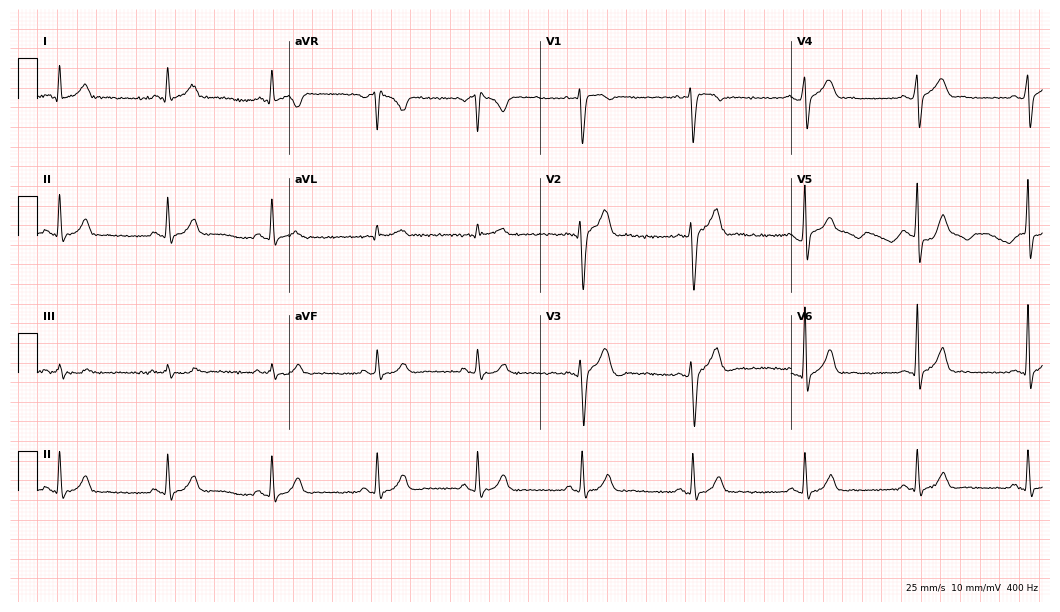
ECG — a male, 36 years old. Screened for six findings — first-degree AV block, right bundle branch block (RBBB), left bundle branch block (LBBB), sinus bradycardia, atrial fibrillation (AF), sinus tachycardia — none is recorded.